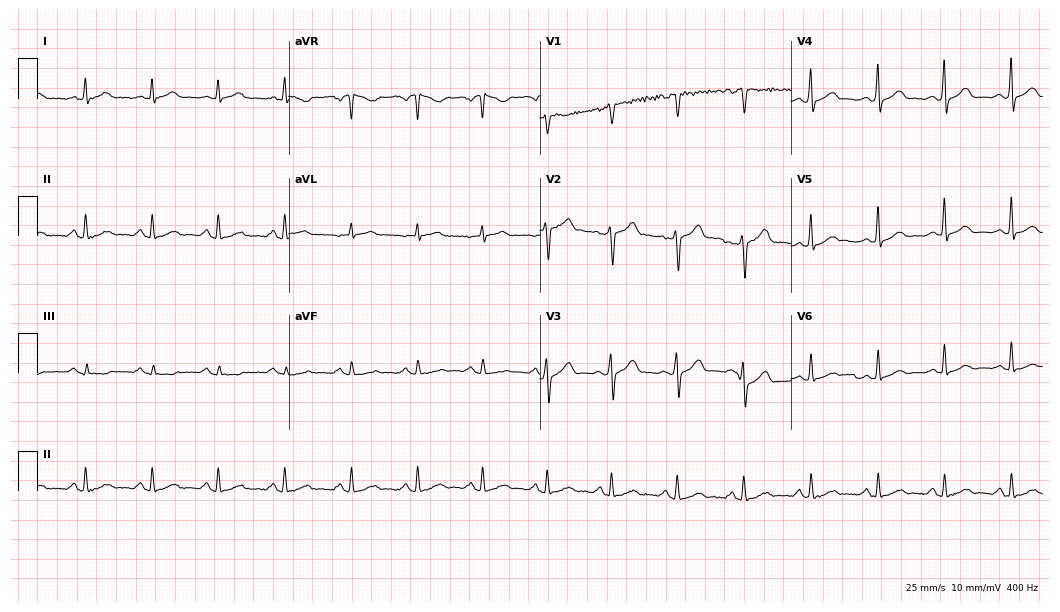
12-lead ECG from a male, 49 years old. Labelled as a normal ECG.